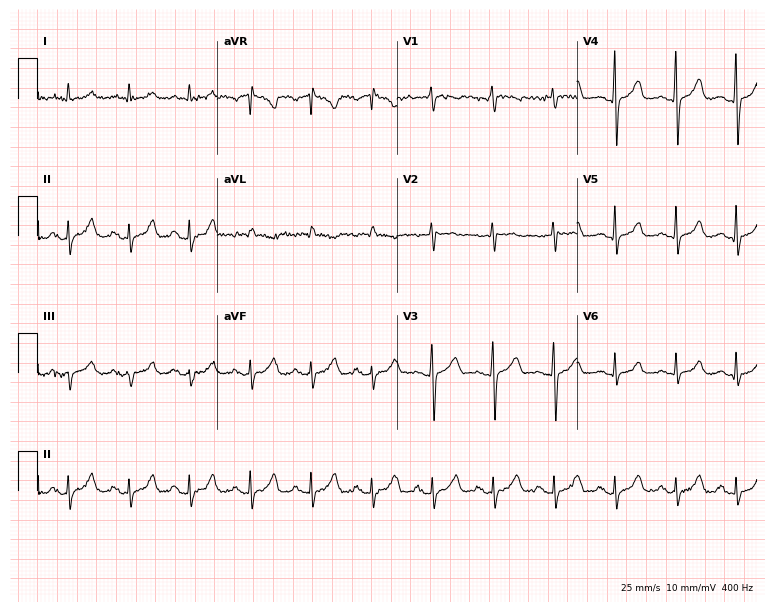
Resting 12-lead electrocardiogram. Patient: a 64-year-old male. Read as a normal ECG.